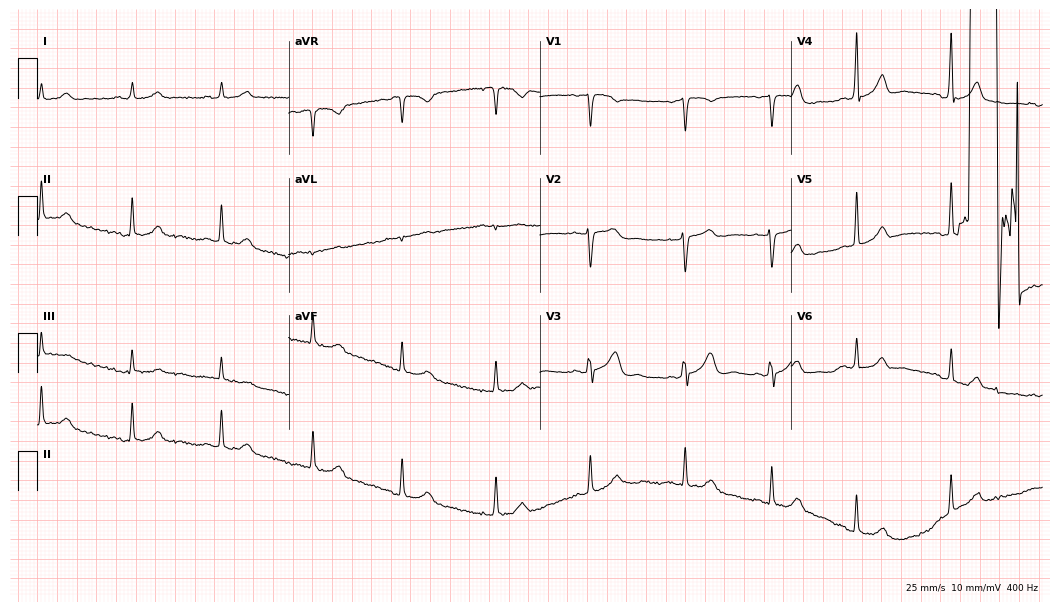
Electrocardiogram (10.2-second recording at 400 Hz), a female, 29 years old. Overall reading on record: normal ECG.